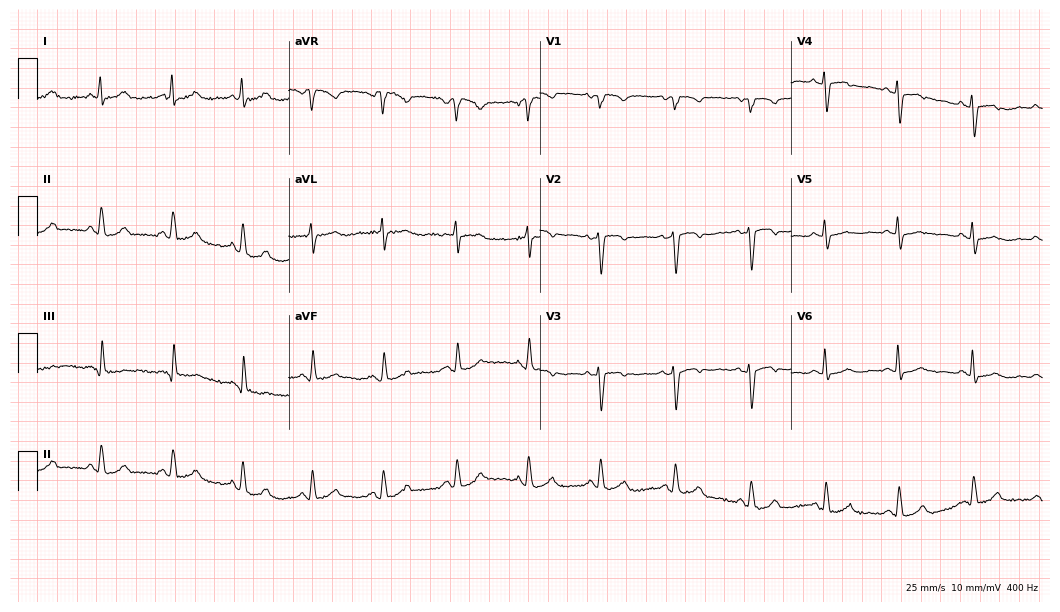
12-lead ECG from a female patient, 64 years old. No first-degree AV block, right bundle branch block, left bundle branch block, sinus bradycardia, atrial fibrillation or sinus tachycardia recorded for this tracing. Other findings, if any, are not listed.